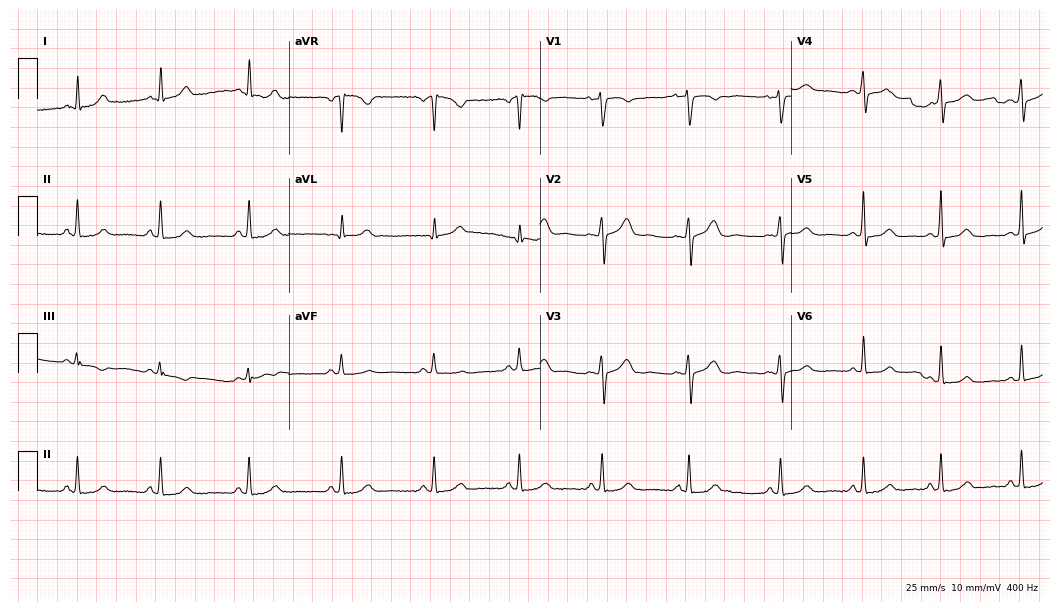
Resting 12-lead electrocardiogram. Patient: a female, 37 years old. Read as a normal ECG.